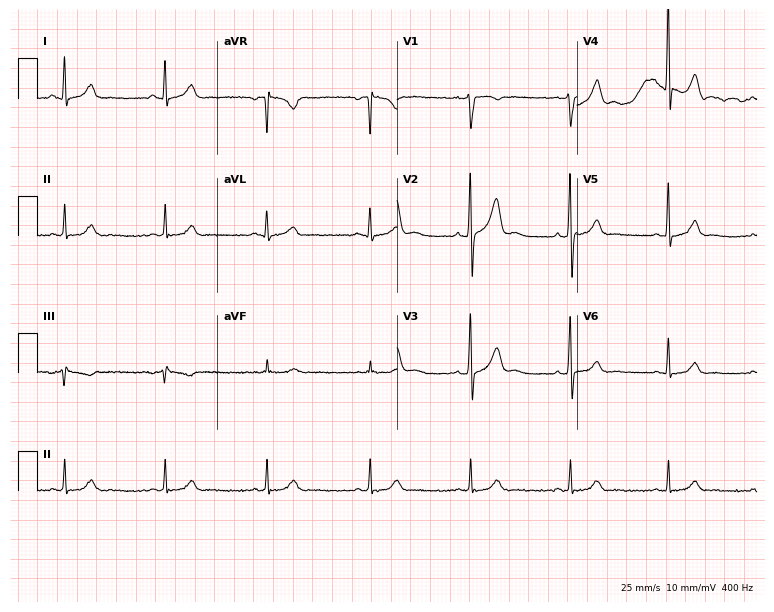
12-lead ECG from a male, 49 years old (7.3-second recording at 400 Hz). No first-degree AV block, right bundle branch block, left bundle branch block, sinus bradycardia, atrial fibrillation or sinus tachycardia recorded for this tracing. Other findings, if any, are not listed.